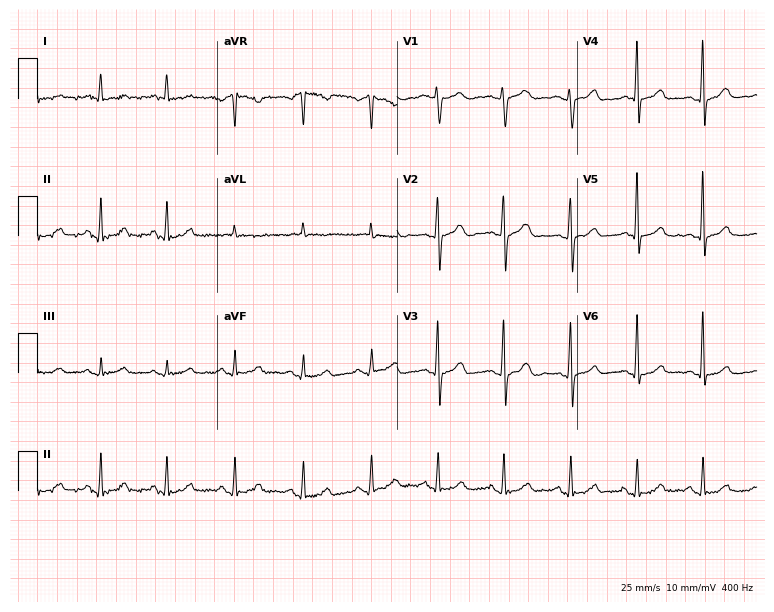
Resting 12-lead electrocardiogram (7.3-second recording at 400 Hz). Patient: a 47-year-old female. Read as a normal ECG.